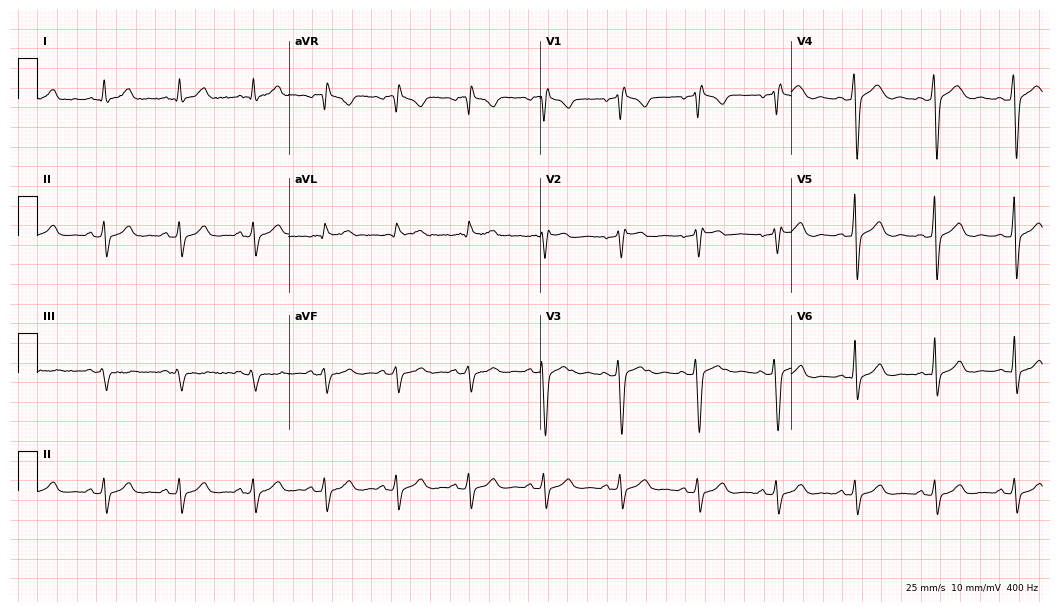
Resting 12-lead electrocardiogram. Patient: a male, 36 years old. None of these six findings is recorded: first-degree AV block, right bundle branch block, left bundle branch block, sinus bradycardia, atrial fibrillation, sinus tachycardia.